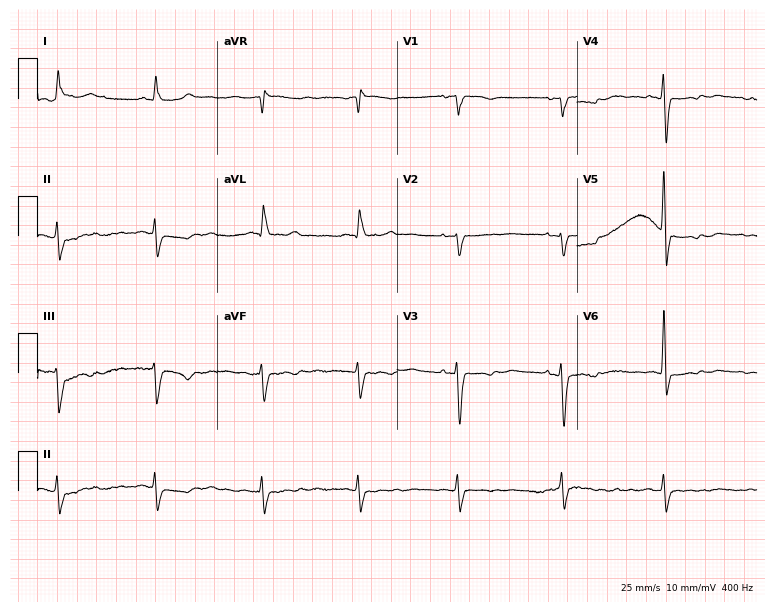
12-lead ECG from a male patient, 85 years old (7.3-second recording at 400 Hz). No first-degree AV block, right bundle branch block, left bundle branch block, sinus bradycardia, atrial fibrillation or sinus tachycardia recorded for this tracing. Findings outside these six are not listed.